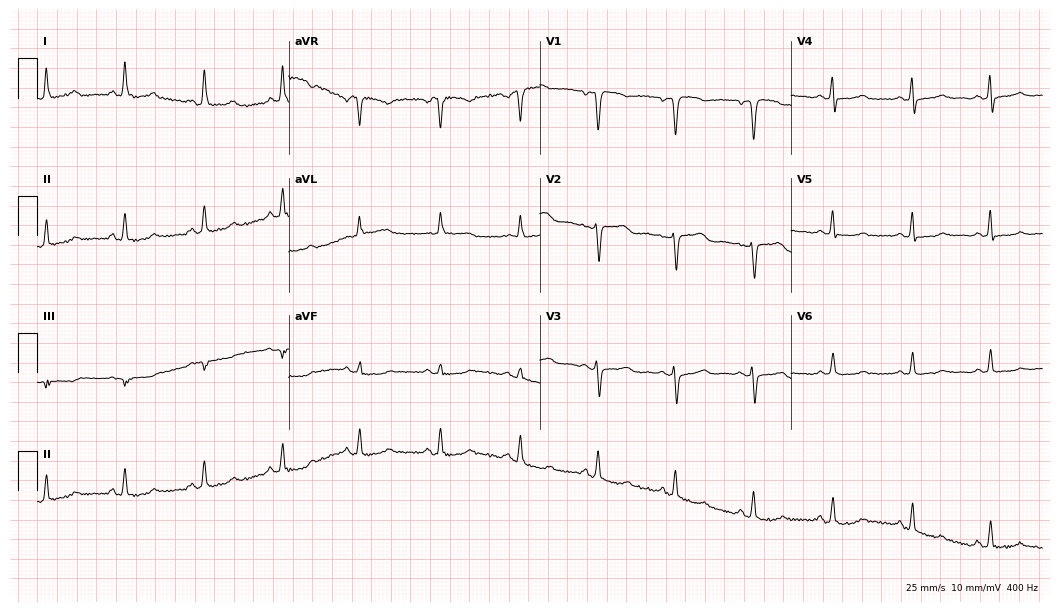
Resting 12-lead electrocardiogram (10.2-second recording at 400 Hz). Patient: a female, 55 years old. None of these six findings is recorded: first-degree AV block, right bundle branch block, left bundle branch block, sinus bradycardia, atrial fibrillation, sinus tachycardia. Only these six findings were labelled.